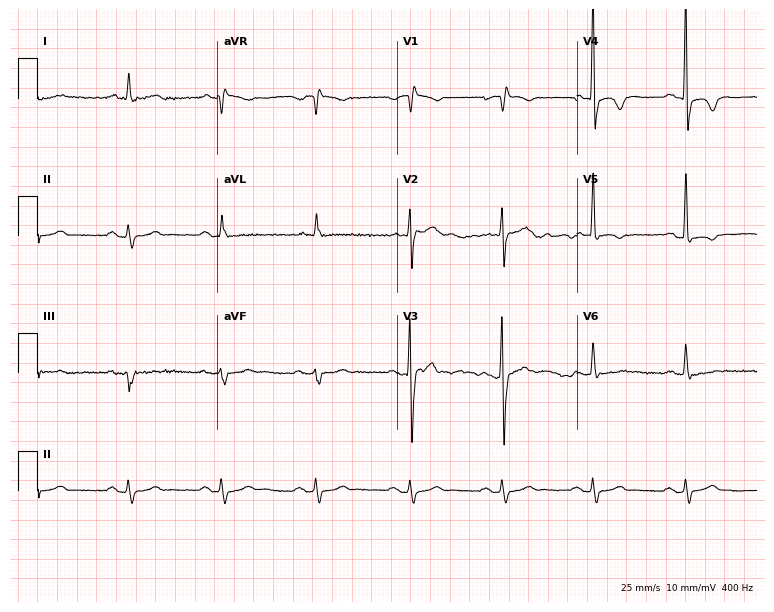
Standard 12-lead ECG recorded from an 80-year-old man (7.3-second recording at 400 Hz). None of these six findings is recorded: first-degree AV block, right bundle branch block, left bundle branch block, sinus bradycardia, atrial fibrillation, sinus tachycardia. Only these six findings were labelled.